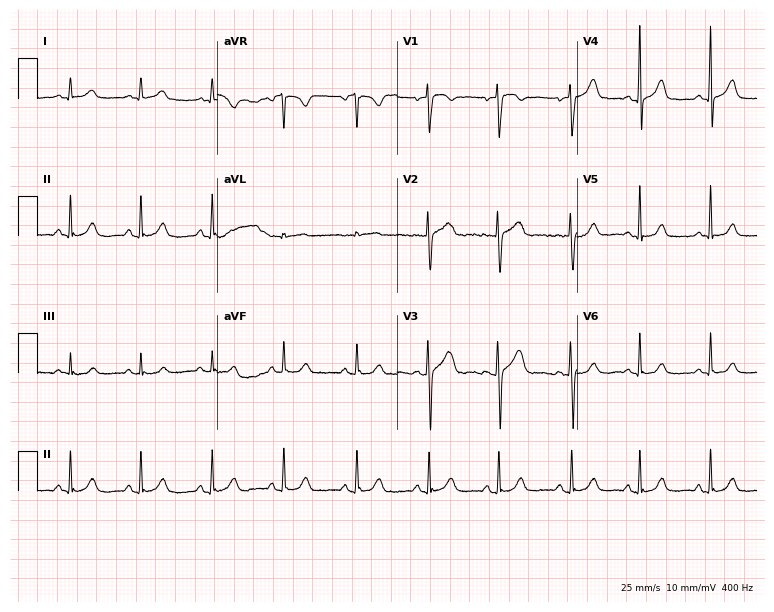
12-lead ECG from a 39-year-old woman (7.3-second recording at 400 Hz). Recorded interpretation: within normal limits.